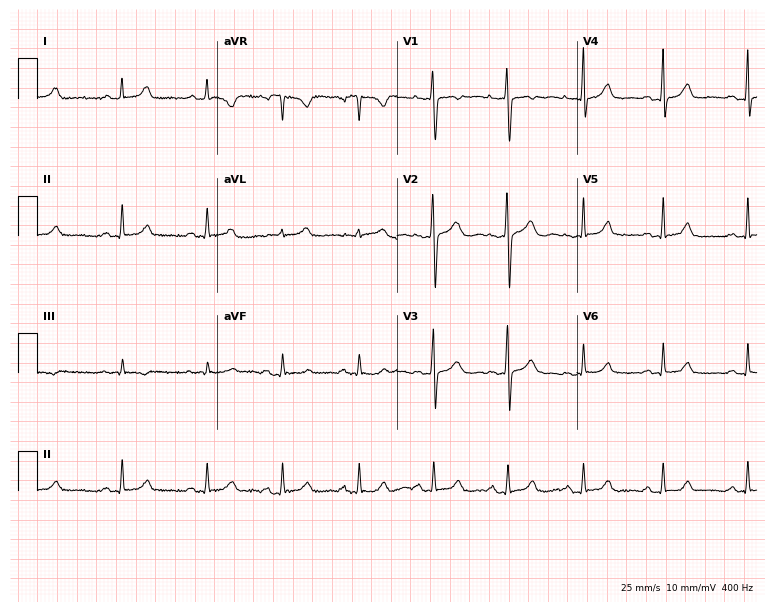
Resting 12-lead electrocardiogram. Patient: a woman, 37 years old. Read as a normal ECG.